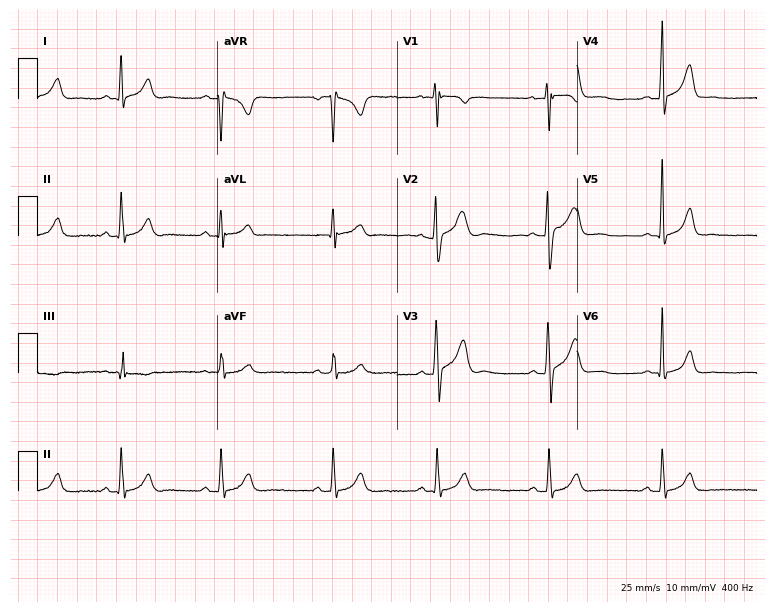
Resting 12-lead electrocardiogram. Patient: a 27-year-old man. Read as a normal ECG.